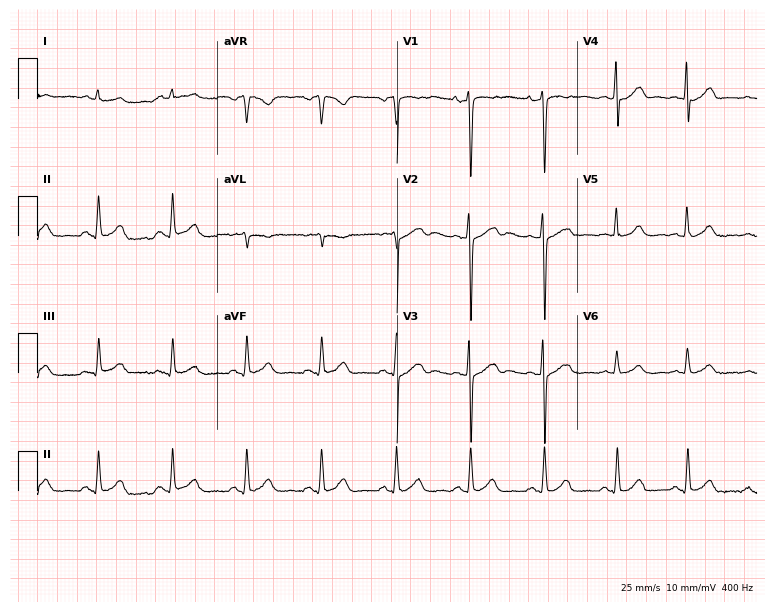
Standard 12-lead ECG recorded from a man, 58 years old (7.3-second recording at 400 Hz). Read as a normal ECG.